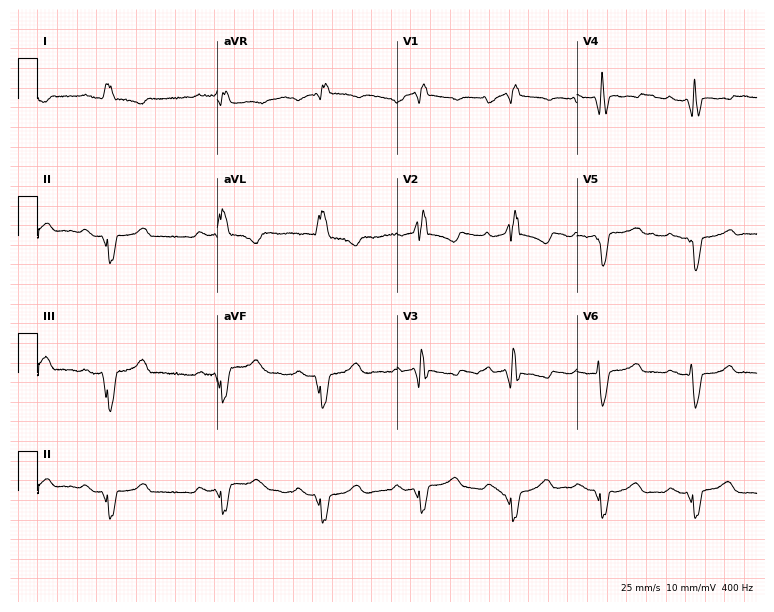
12-lead ECG (7.3-second recording at 400 Hz) from a 63-year-old female. Screened for six findings — first-degree AV block, right bundle branch block, left bundle branch block, sinus bradycardia, atrial fibrillation, sinus tachycardia — none is recorded.